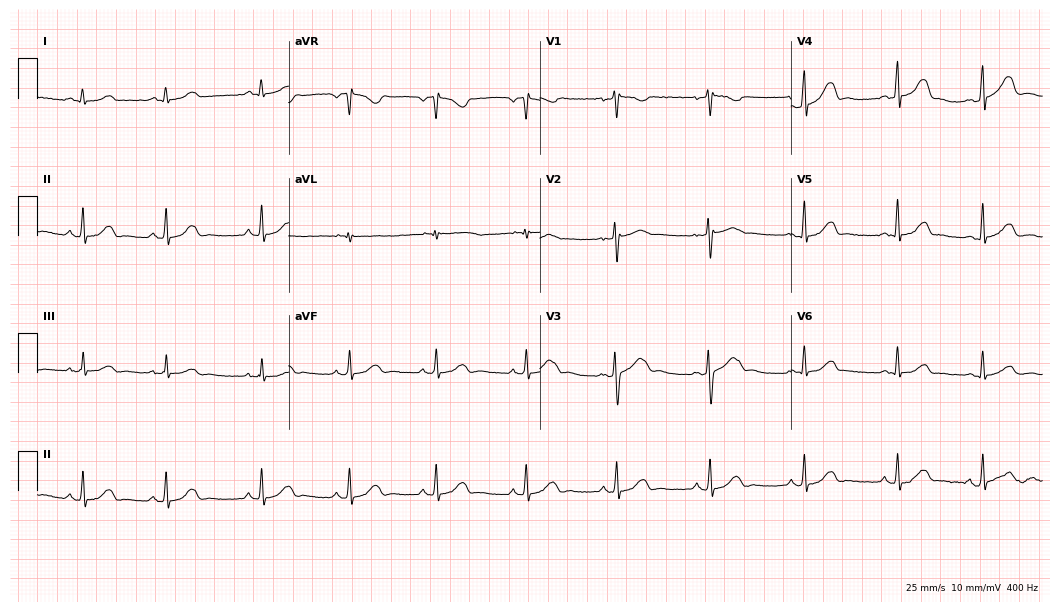
12-lead ECG from a female patient, 24 years old. Labelled as a normal ECG.